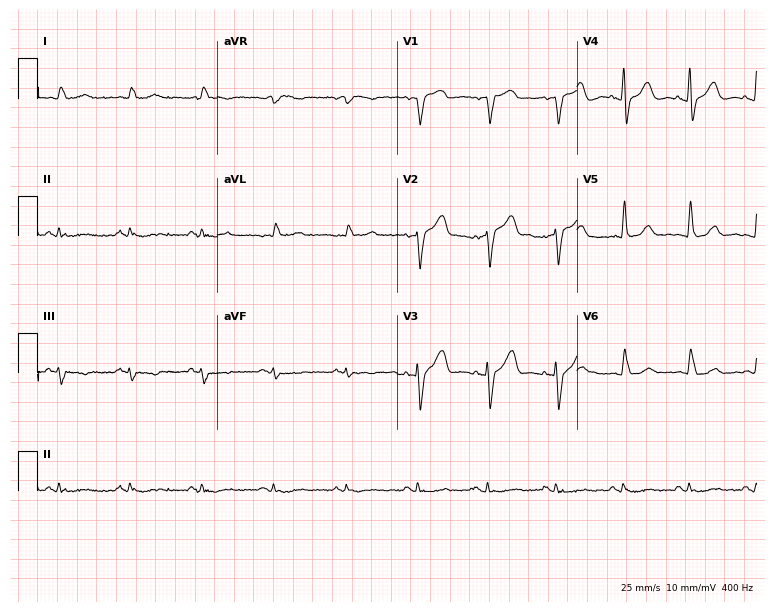
Standard 12-lead ECG recorded from an 81-year-old man. None of these six findings is recorded: first-degree AV block, right bundle branch block (RBBB), left bundle branch block (LBBB), sinus bradycardia, atrial fibrillation (AF), sinus tachycardia. Other findings, if any, are not listed.